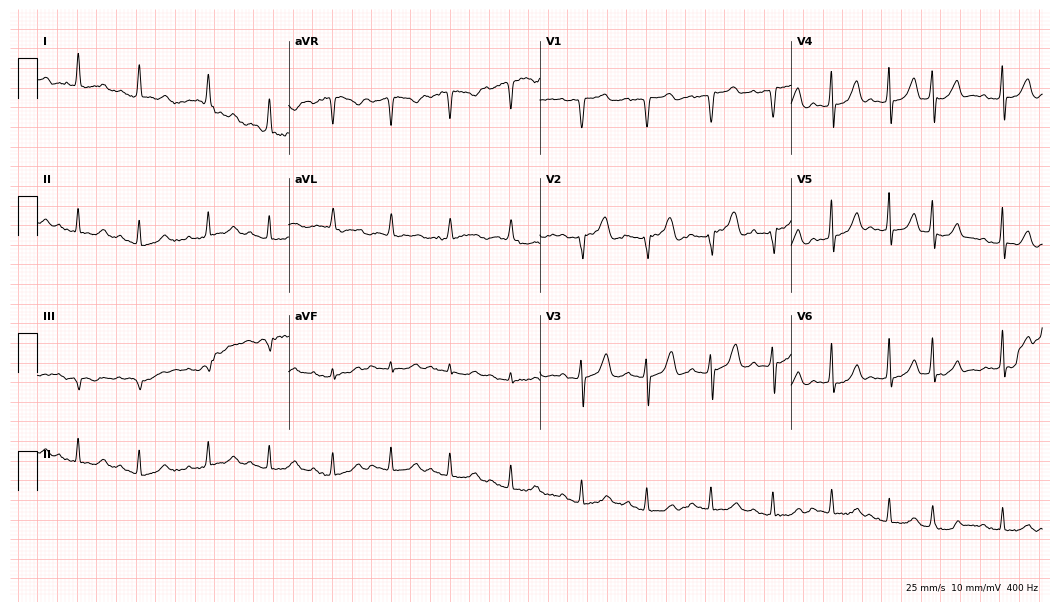
12-lead ECG from a female, 79 years old. No first-degree AV block, right bundle branch block, left bundle branch block, sinus bradycardia, atrial fibrillation or sinus tachycardia recorded for this tracing.